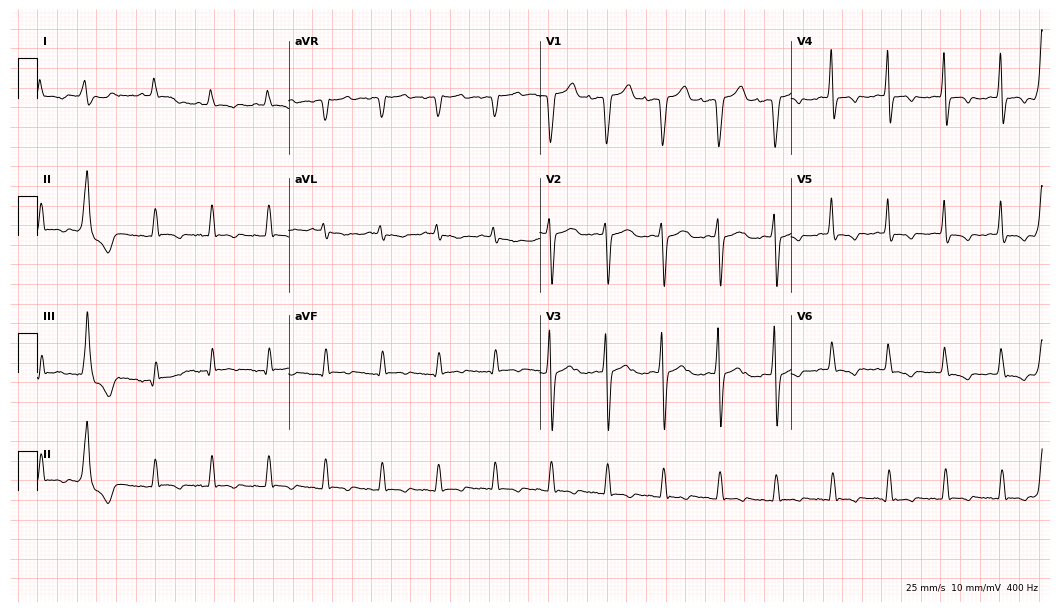
12-lead ECG (10.2-second recording at 400 Hz) from a male, 84 years old. Findings include sinus tachycardia (a sinus rate of 100 beats per minute or more).